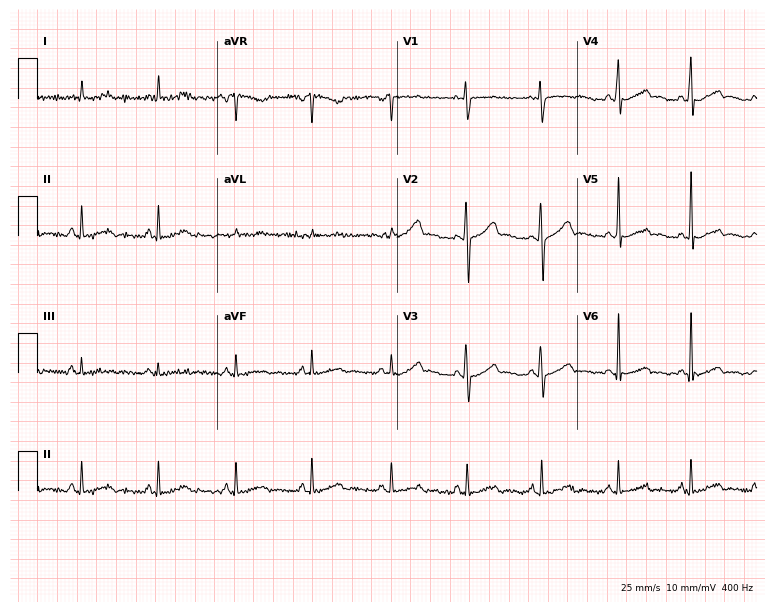
Resting 12-lead electrocardiogram. Patient: a 33-year-old female. Read as a normal ECG.